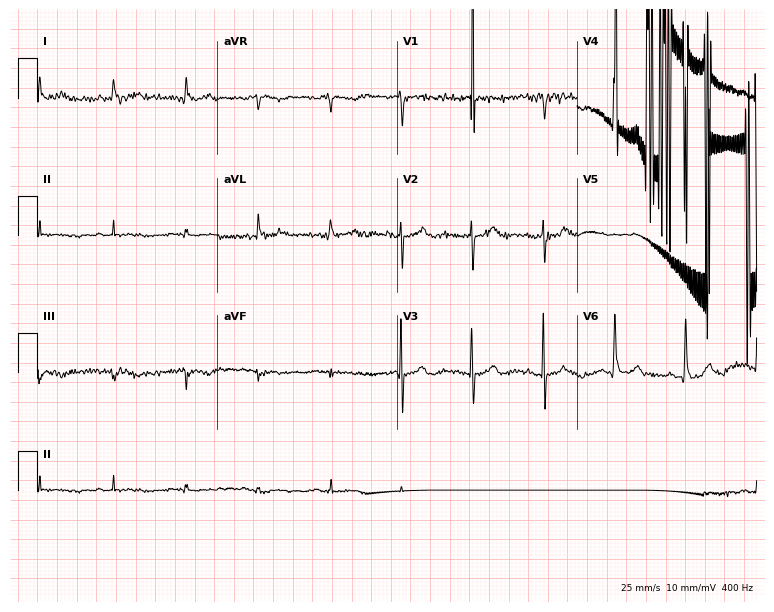
Standard 12-lead ECG recorded from an 85-year-old male (7.3-second recording at 400 Hz). None of these six findings is recorded: first-degree AV block, right bundle branch block (RBBB), left bundle branch block (LBBB), sinus bradycardia, atrial fibrillation (AF), sinus tachycardia.